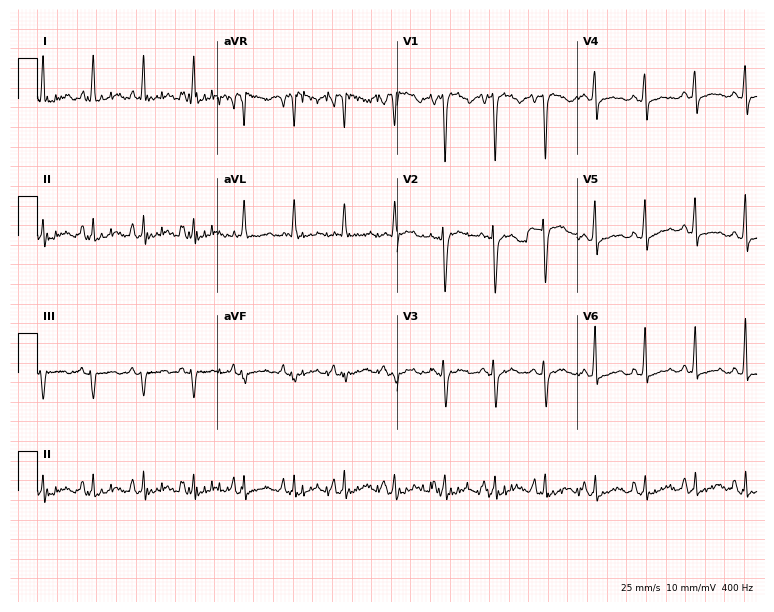
Standard 12-lead ECG recorded from a female patient, 52 years old. The tracing shows sinus tachycardia (a sinus rate of 100 beats per minute or more).